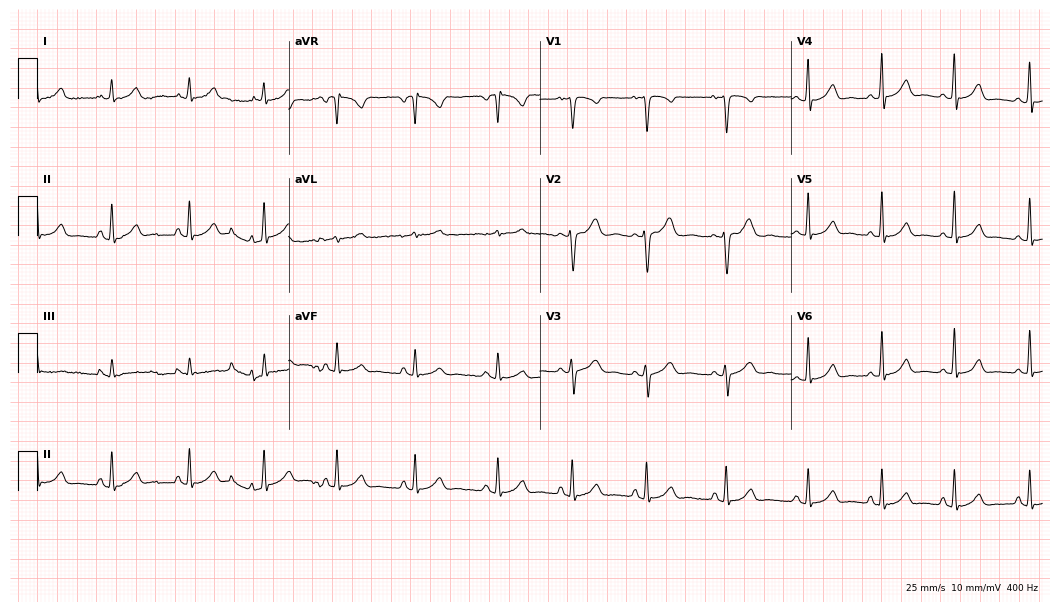
12-lead ECG (10.2-second recording at 400 Hz) from a female patient, 34 years old. Screened for six findings — first-degree AV block, right bundle branch block (RBBB), left bundle branch block (LBBB), sinus bradycardia, atrial fibrillation (AF), sinus tachycardia — none is recorded.